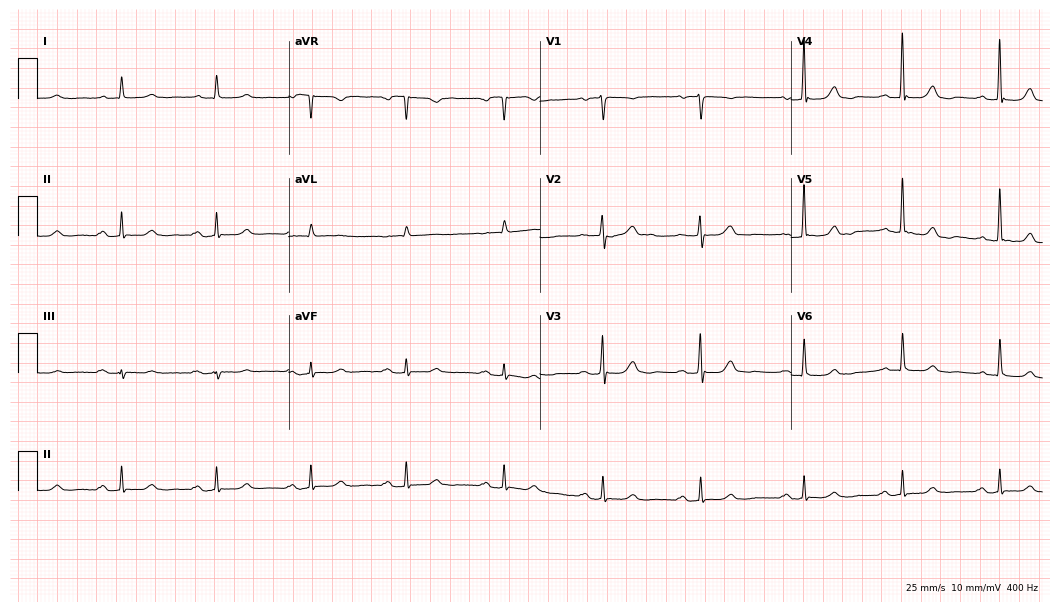
Electrocardiogram (10.2-second recording at 400 Hz), a female patient, 79 years old. Overall reading on record: normal ECG.